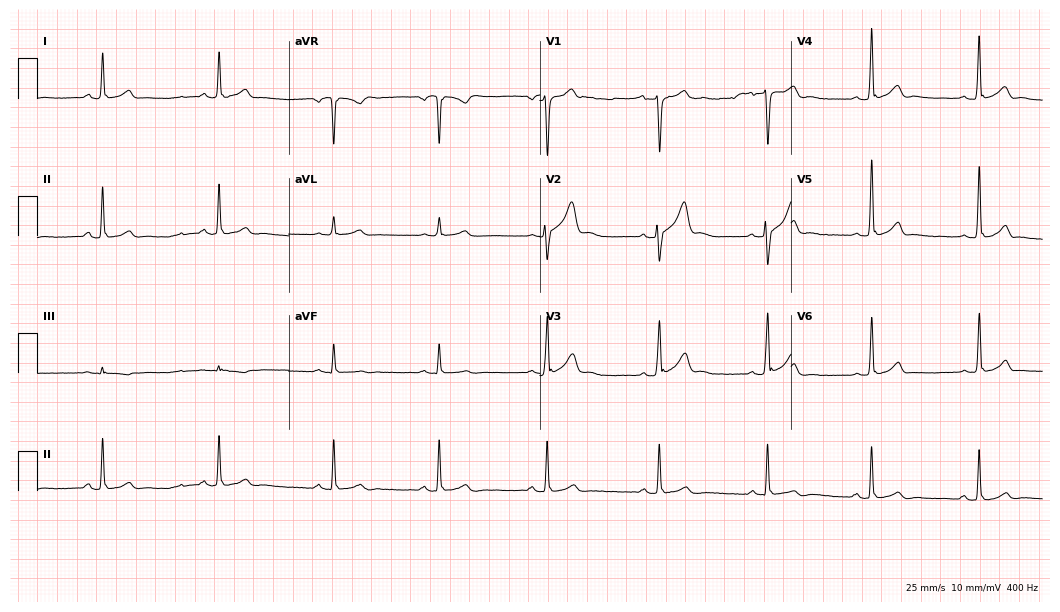
12-lead ECG from a 27-year-old male (10.2-second recording at 400 Hz). Recorded interpretation: within normal limits.